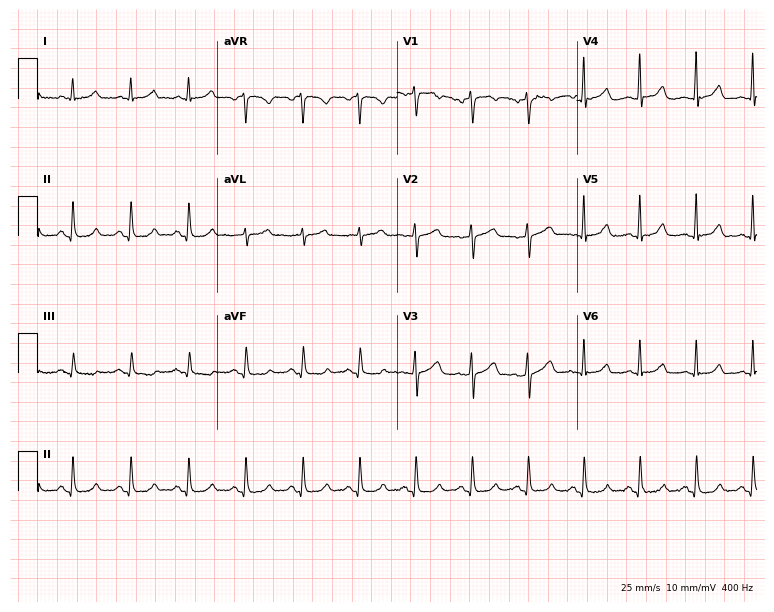
ECG (7.3-second recording at 400 Hz) — a female patient, 46 years old. Findings include sinus tachycardia (a sinus rate of 100 beats per minute or more).